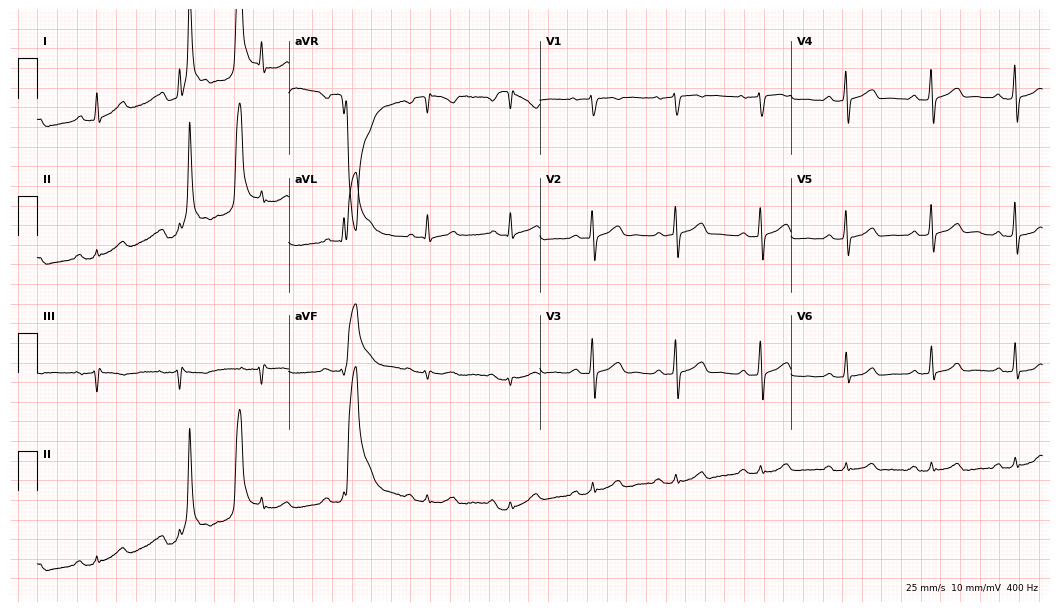
ECG — a male patient, 61 years old. Labelled as a normal ECG.